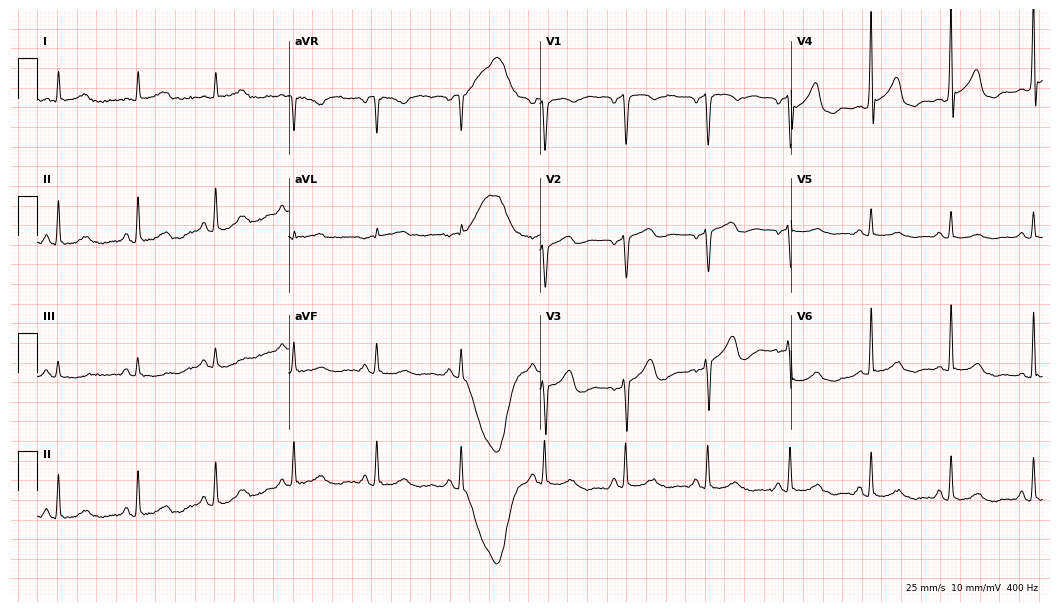
12-lead ECG (10.2-second recording at 400 Hz) from a male patient, 79 years old. Screened for six findings — first-degree AV block, right bundle branch block, left bundle branch block, sinus bradycardia, atrial fibrillation, sinus tachycardia — none is recorded.